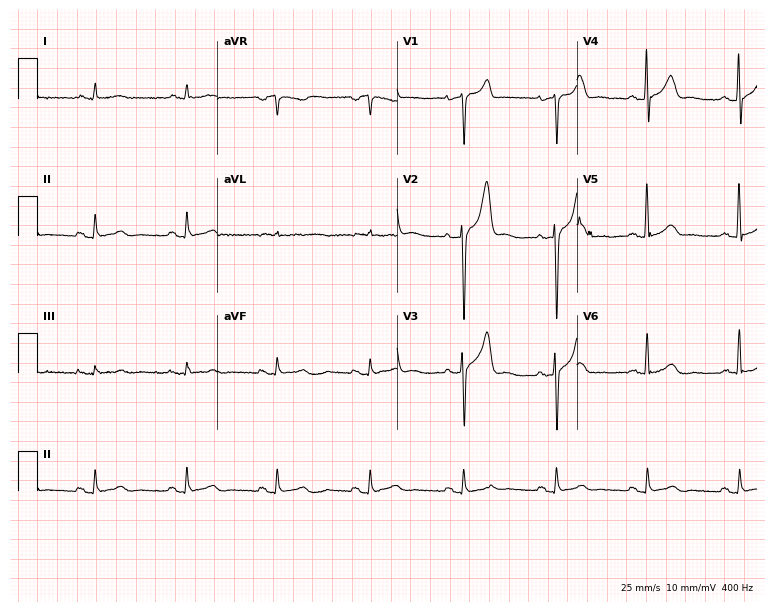
ECG (7.3-second recording at 400 Hz) — a 60-year-old male. Labelled as a normal ECG.